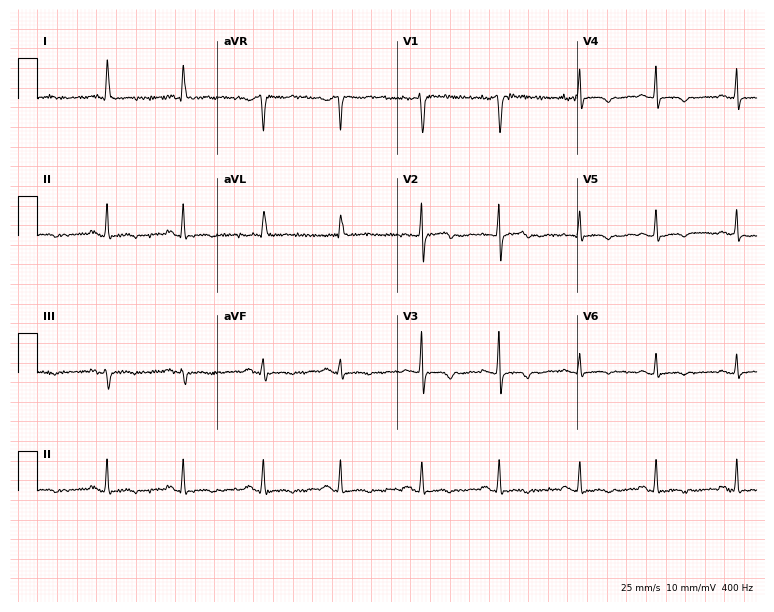
Standard 12-lead ECG recorded from a 59-year-old woman. None of these six findings is recorded: first-degree AV block, right bundle branch block, left bundle branch block, sinus bradycardia, atrial fibrillation, sinus tachycardia.